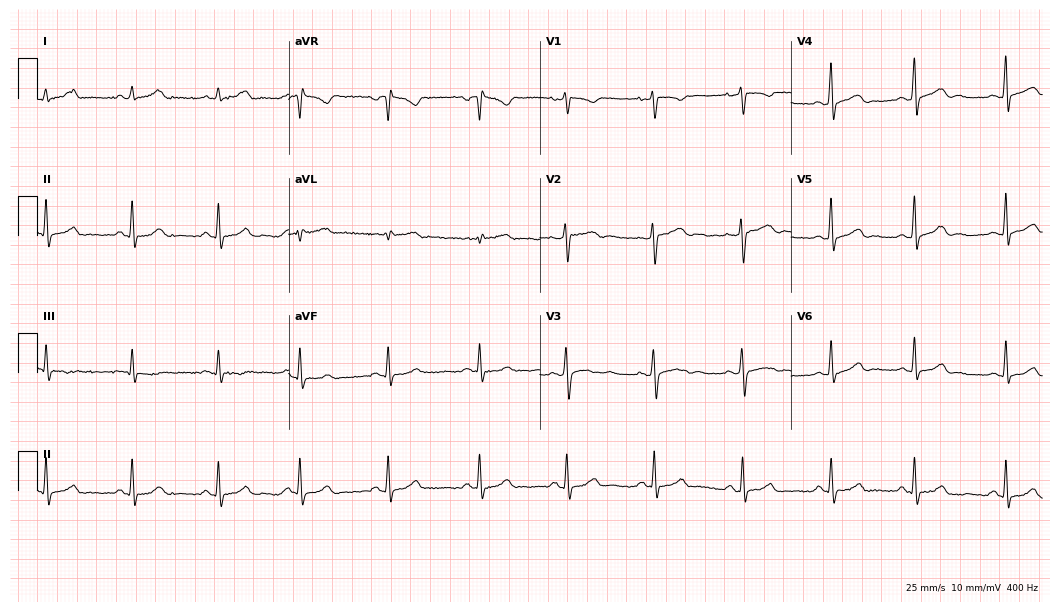
Standard 12-lead ECG recorded from a female, 32 years old (10.2-second recording at 400 Hz). Read as a normal ECG.